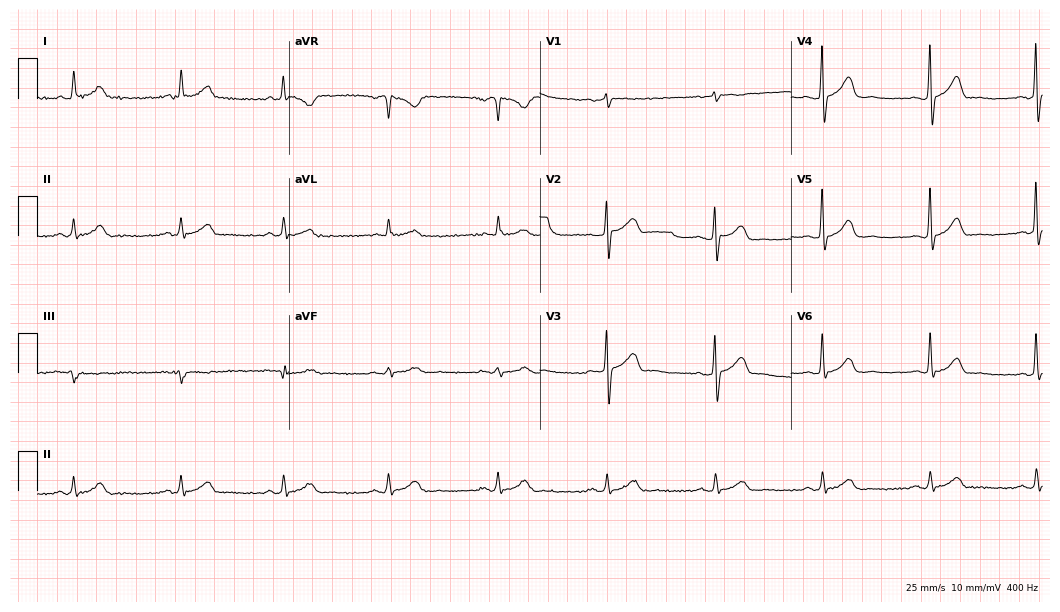
ECG — a 66-year-old female patient. Labelled as a normal ECG.